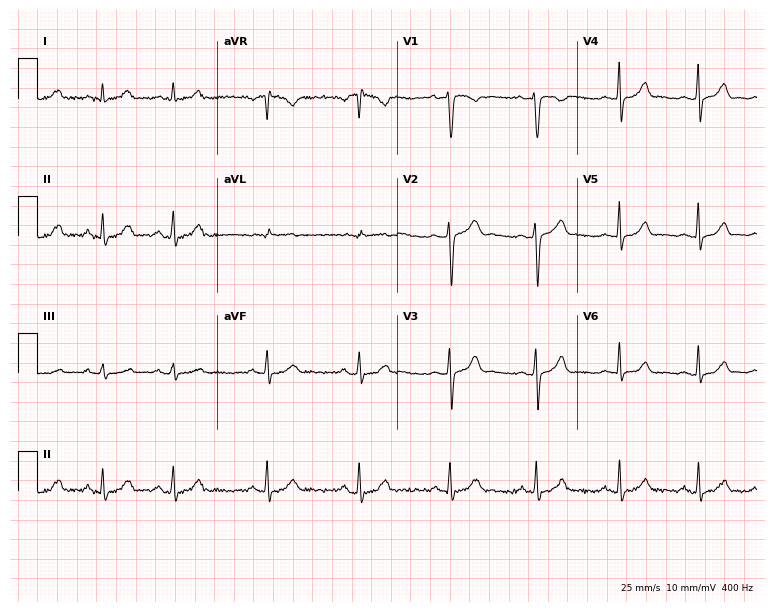
12-lead ECG from a female patient, 32 years old (7.3-second recording at 400 Hz). No first-degree AV block, right bundle branch block (RBBB), left bundle branch block (LBBB), sinus bradycardia, atrial fibrillation (AF) or sinus tachycardia recorded for this tracing.